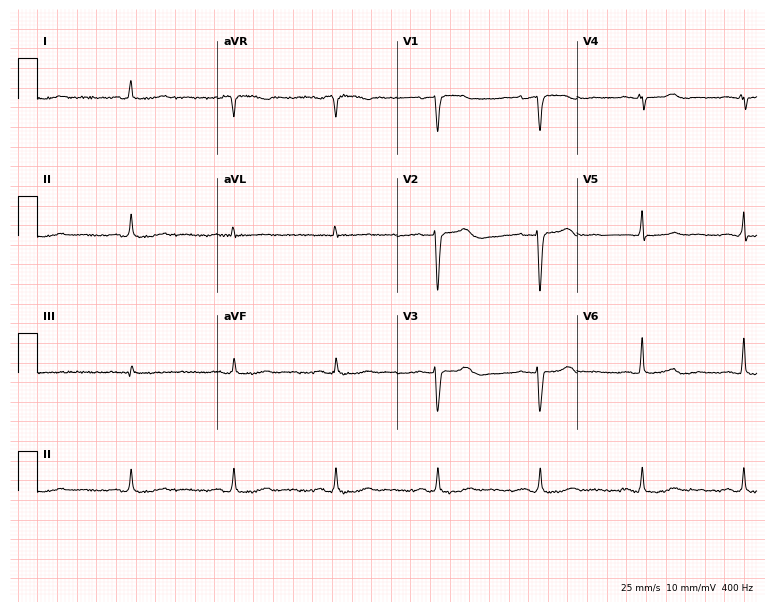
Resting 12-lead electrocardiogram (7.3-second recording at 400 Hz). Patient: a 55-year-old female. None of these six findings is recorded: first-degree AV block, right bundle branch block (RBBB), left bundle branch block (LBBB), sinus bradycardia, atrial fibrillation (AF), sinus tachycardia. Other findings, if any, are not listed.